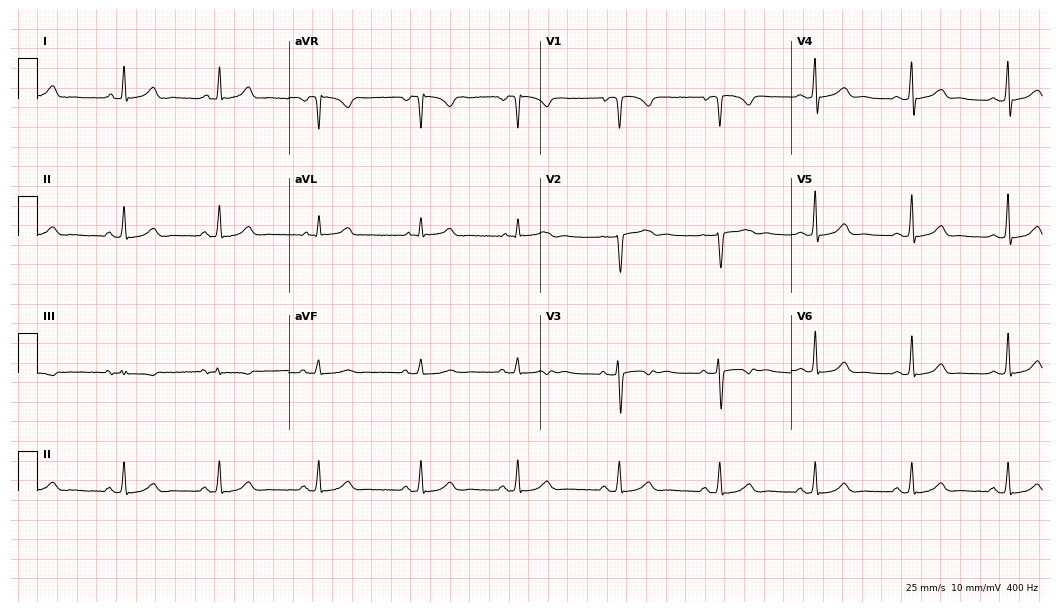
Resting 12-lead electrocardiogram (10.2-second recording at 400 Hz). Patient: a 45-year-old female. Read as a normal ECG.